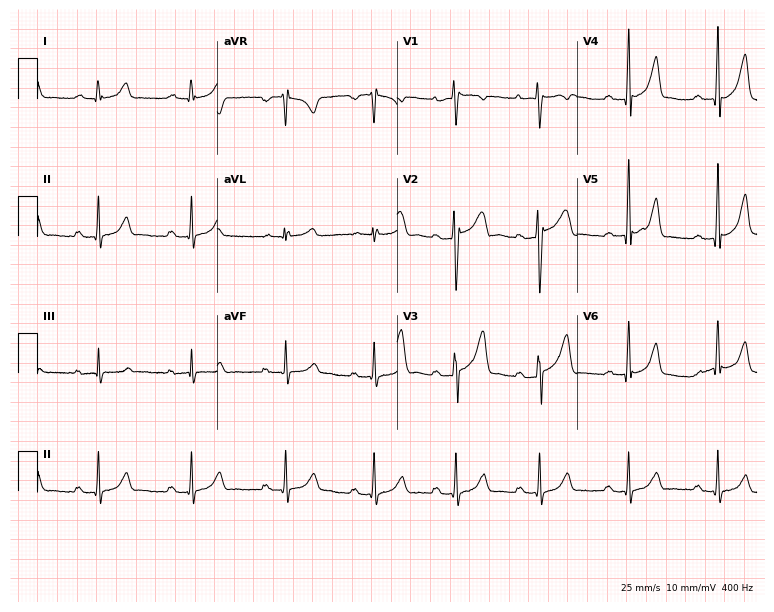
Standard 12-lead ECG recorded from a male, 29 years old. Read as a normal ECG.